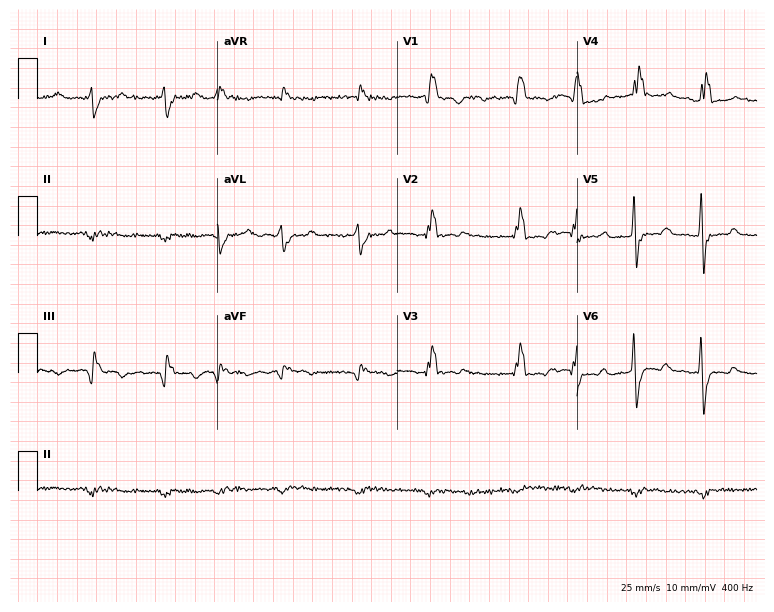
Resting 12-lead electrocardiogram (7.3-second recording at 400 Hz). Patient: a 61-year-old man. The tracing shows right bundle branch block (RBBB), atrial fibrillation (AF).